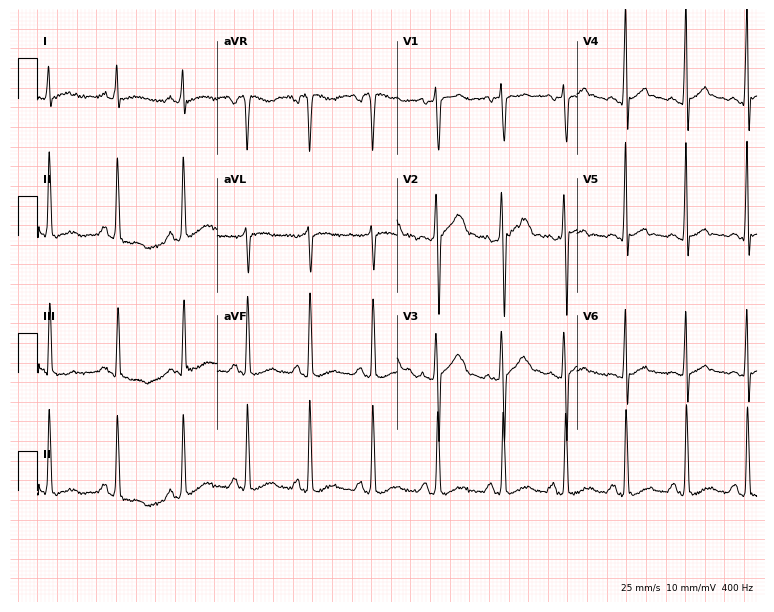
12-lead ECG (7.3-second recording at 400 Hz) from a man, 40 years old. Labelled as a normal ECG.